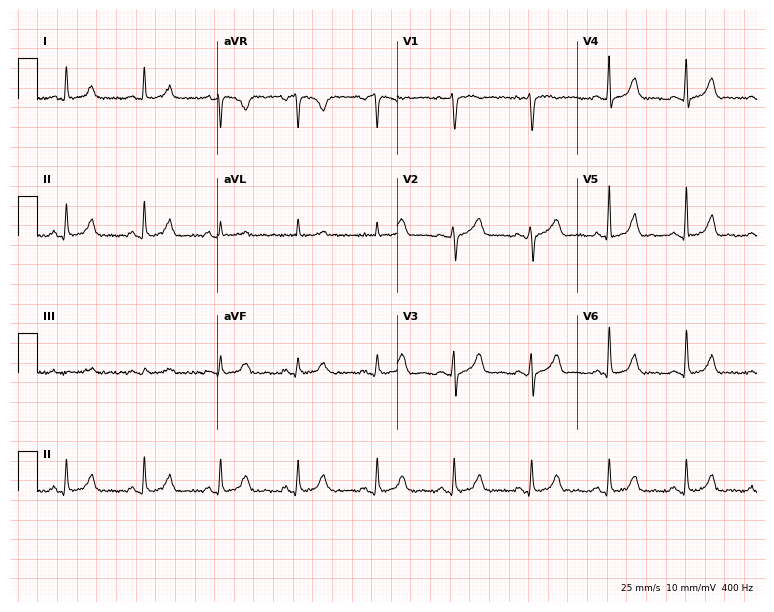
Electrocardiogram (7.3-second recording at 400 Hz), a woman, 40 years old. Overall reading on record: normal ECG.